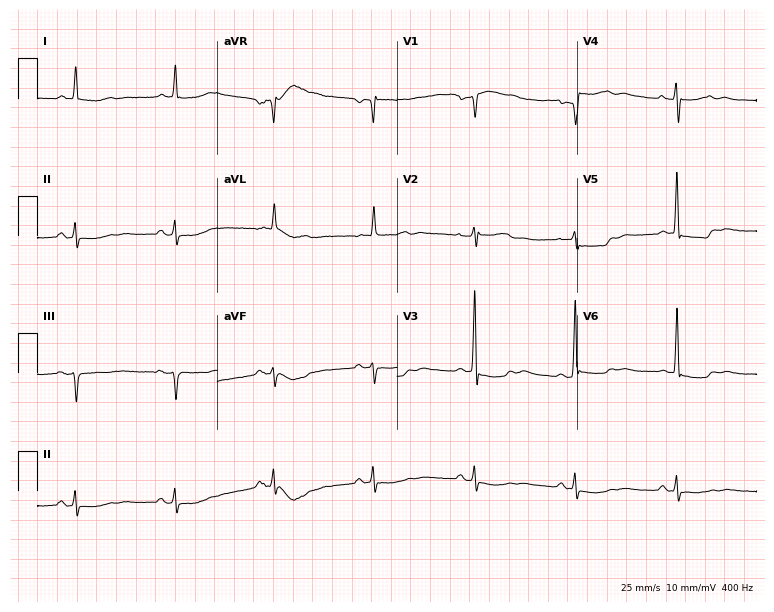
12-lead ECG from a male patient, 68 years old. No first-degree AV block, right bundle branch block (RBBB), left bundle branch block (LBBB), sinus bradycardia, atrial fibrillation (AF) or sinus tachycardia recorded for this tracing.